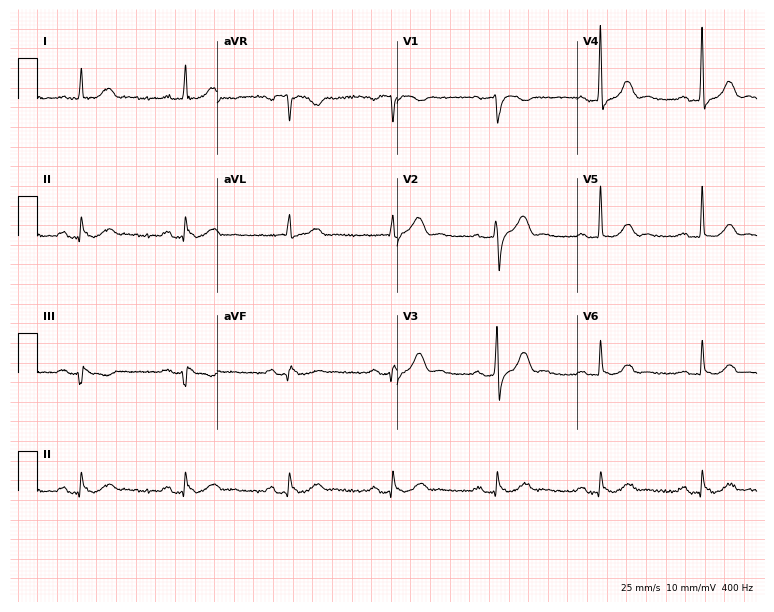
Standard 12-lead ECG recorded from a man, 66 years old. None of these six findings is recorded: first-degree AV block, right bundle branch block, left bundle branch block, sinus bradycardia, atrial fibrillation, sinus tachycardia.